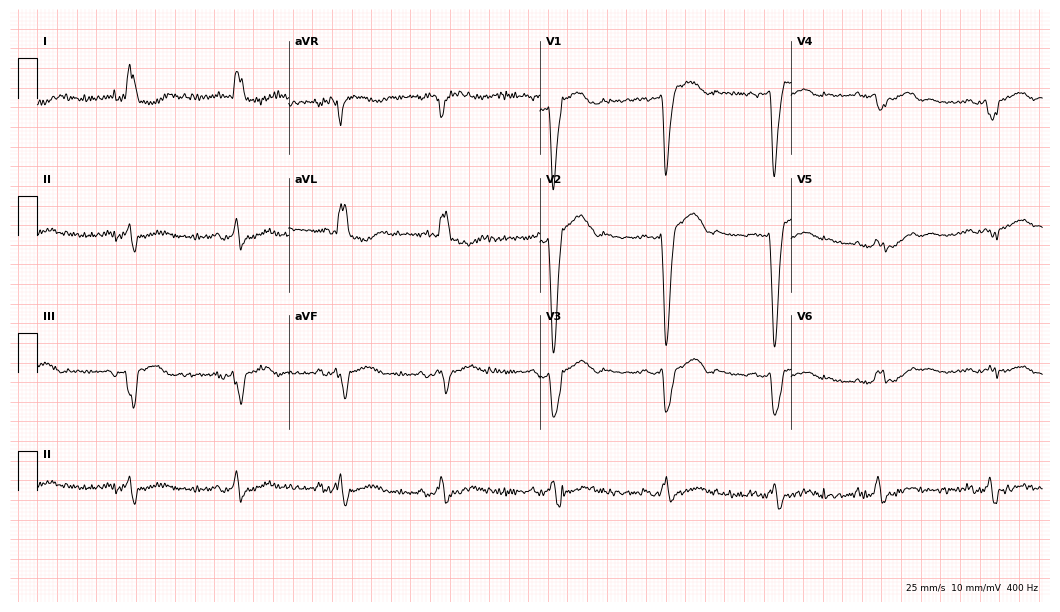
Resting 12-lead electrocardiogram (10.2-second recording at 400 Hz). Patient: a woman, 82 years old. None of these six findings is recorded: first-degree AV block, right bundle branch block, left bundle branch block, sinus bradycardia, atrial fibrillation, sinus tachycardia.